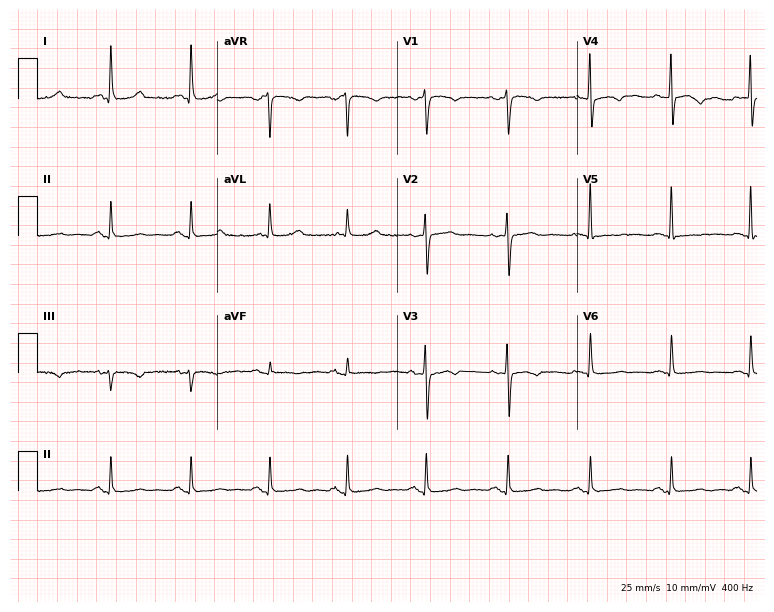
Resting 12-lead electrocardiogram. Patient: a 51-year-old woman. None of these six findings is recorded: first-degree AV block, right bundle branch block (RBBB), left bundle branch block (LBBB), sinus bradycardia, atrial fibrillation (AF), sinus tachycardia.